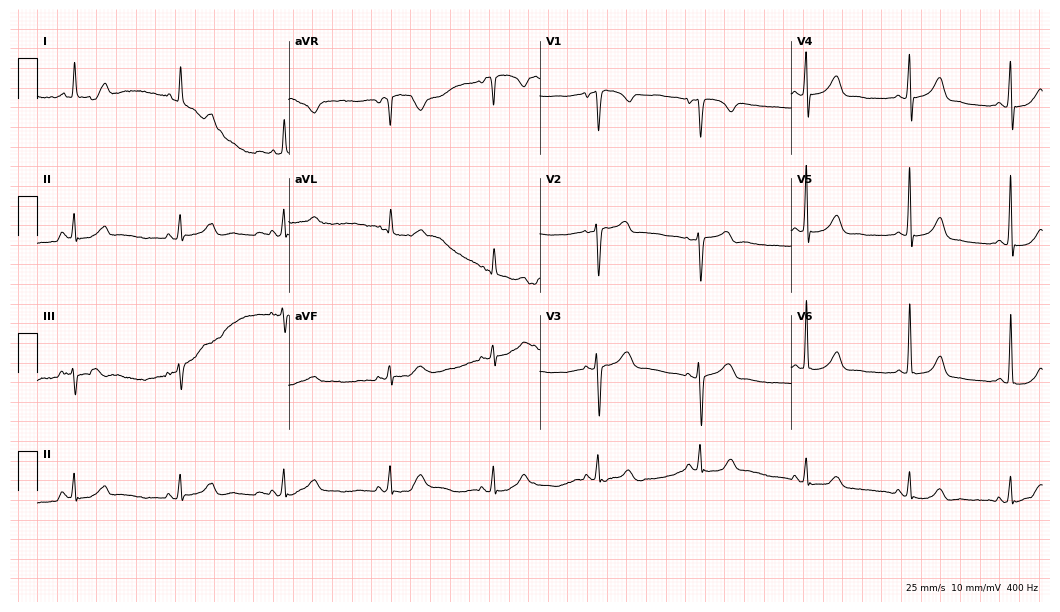
Electrocardiogram, a female patient, 65 years old. Overall reading on record: normal ECG.